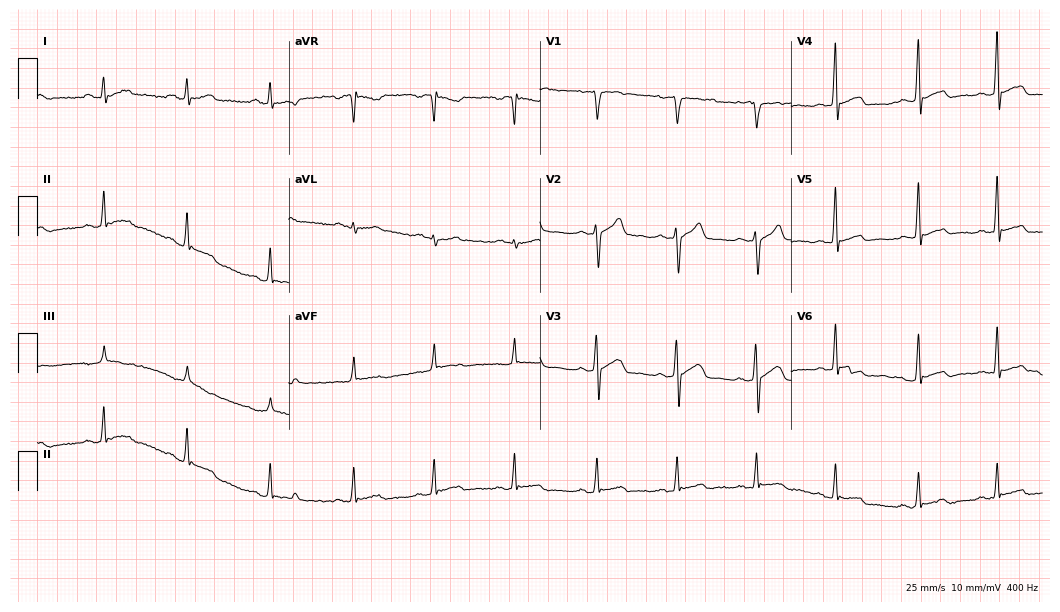
Resting 12-lead electrocardiogram (10.2-second recording at 400 Hz). Patient: a 44-year-old man. None of these six findings is recorded: first-degree AV block, right bundle branch block, left bundle branch block, sinus bradycardia, atrial fibrillation, sinus tachycardia.